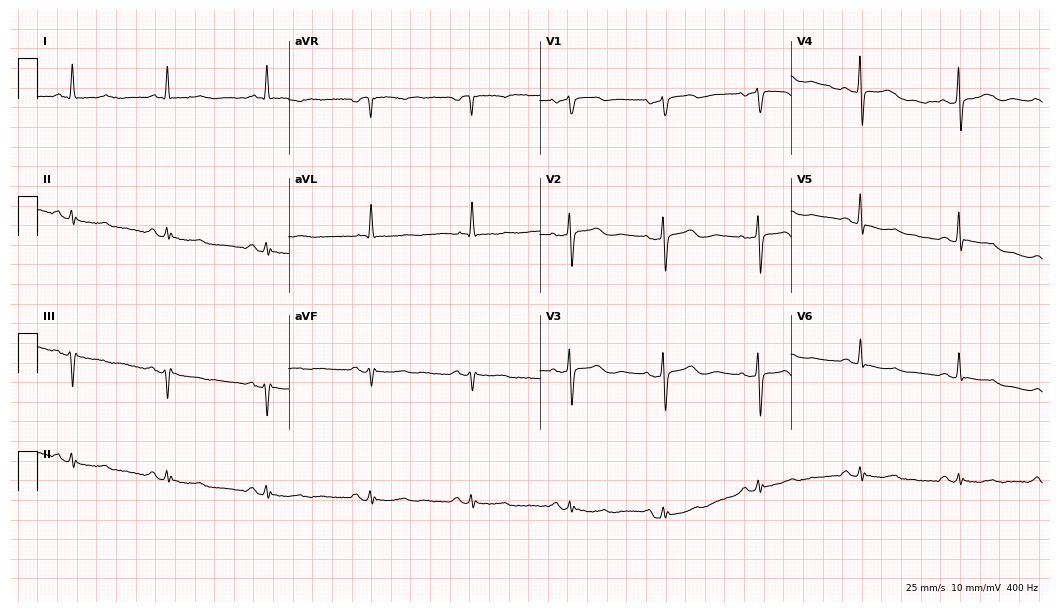
ECG (10.2-second recording at 400 Hz) — an 85-year-old female patient. Screened for six findings — first-degree AV block, right bundle branch block (RBBB), left bundle branch block (LBBB), sinus bradycardia, atrial fibrillation (AF), sinus tachycardia — none is recorded.